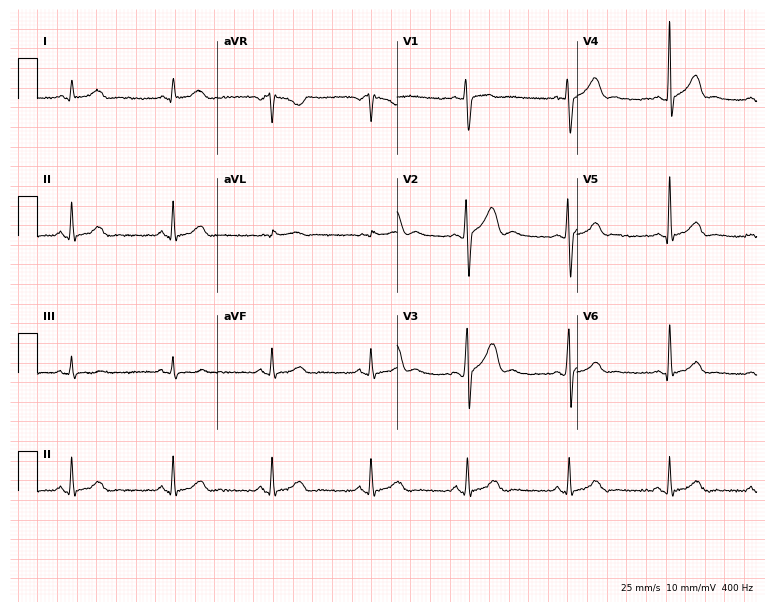
Resting 12-lead electrocardiogram (7.3-second recording at 400 Hz). Patient: a 21-year-old male. None of these six findings is recorded: first-degree AV block, right bundle branch block, left bundle branch block, sinus bradycardia, atrial fibrillation, sinus tachycardia.